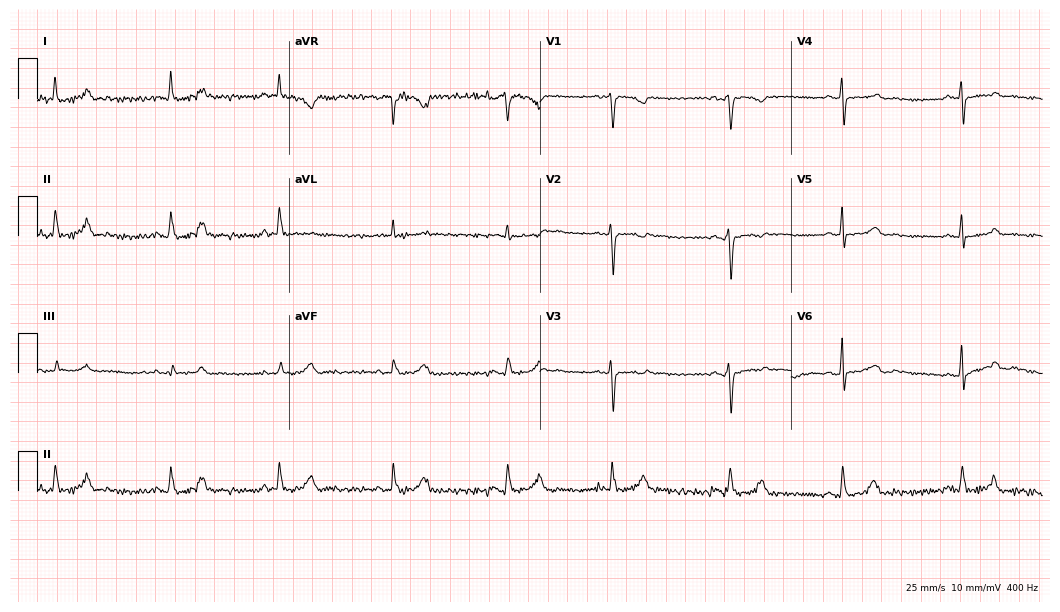
Electrocardiogram, a woman, 59 years old. Of the six screened findings (first-degree AV block, right bundle branch block, left bundle branch block, sinus bradycardia, atrial fibrillation, sinus tachycardia), none is recorded. Other findings, if any, are not listed.